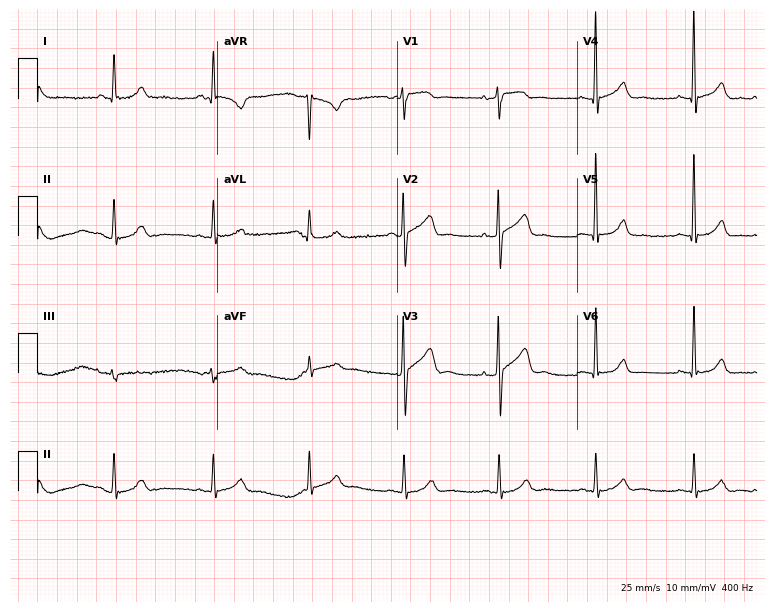
Standard 12-lead ECG recorded from a 69-year-old male (7.3-second recording at 400 Hz). None of these six findings is recorded: first-degree AV block, right bundle branch block, left bundle branch block, sinus bradycardia, atrial fibrillation, sinus tachycardia.